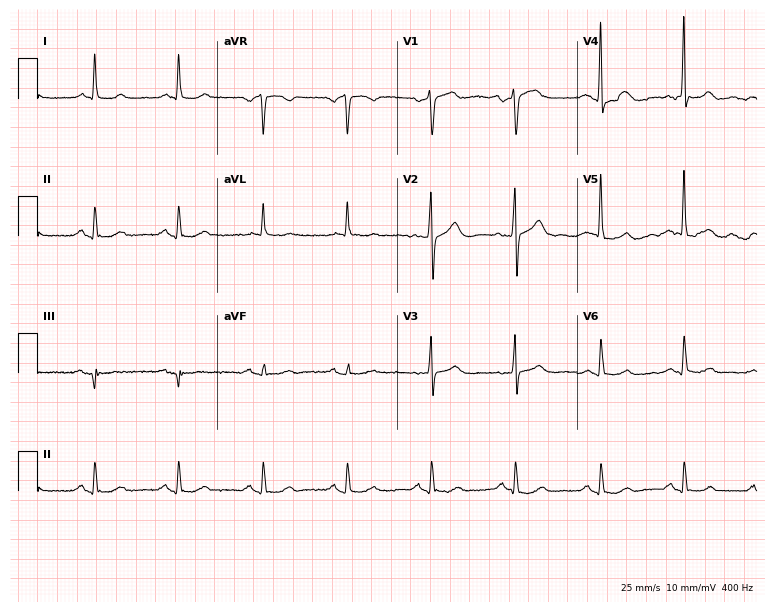
12-lead ECG from a man, 63 years old. Labelled as a normal ECG.